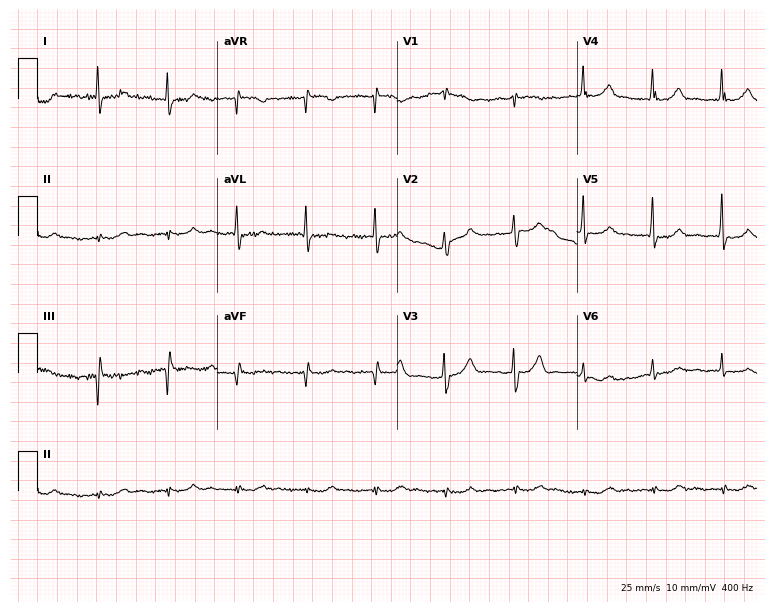
12-lead ECG (7.3-second recording at 400 Hz) from a 62-year-old man. Screened for six findings — first-degree AV block, right bundle branch block (RBBB), left bundle branch block (LBBB), sinus bradycardia, atrial fibrillation (AF), sinus tachycardia — none is recorded.